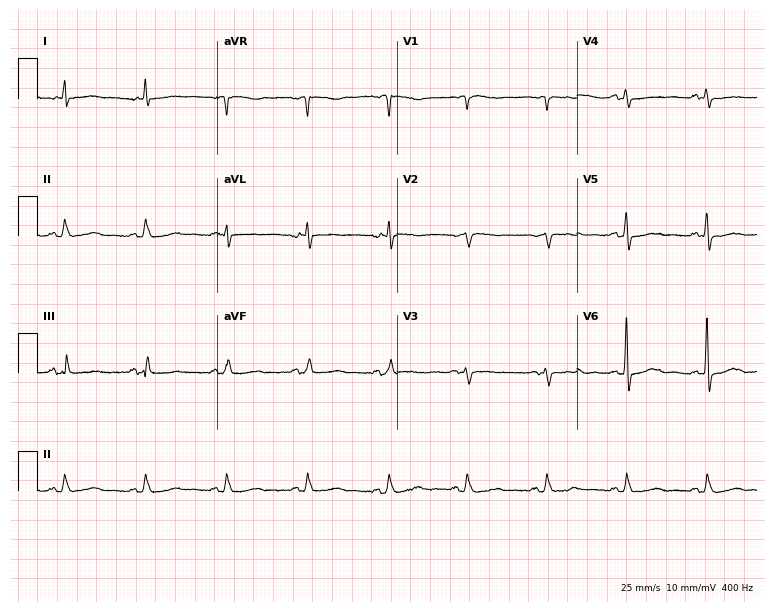
Resting 12-lead electrocardiogram (7.3-second recording at 400 Hz). Patient: a female, 71 years old. None of these six findings is recorded: first-degree AV block, right bundle branch block, left bundle branch block, sinus bradycardia, atrial fibrillation, sinus tachycardia.